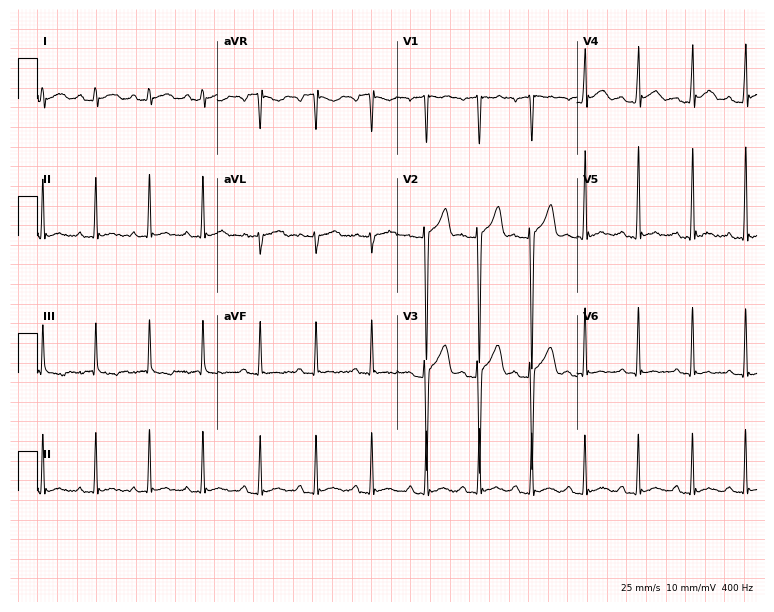
12-lead ECG from a man, 19 years old. Findings include sinus tachycardia (a sinus rate of 100 beats per minute or more).